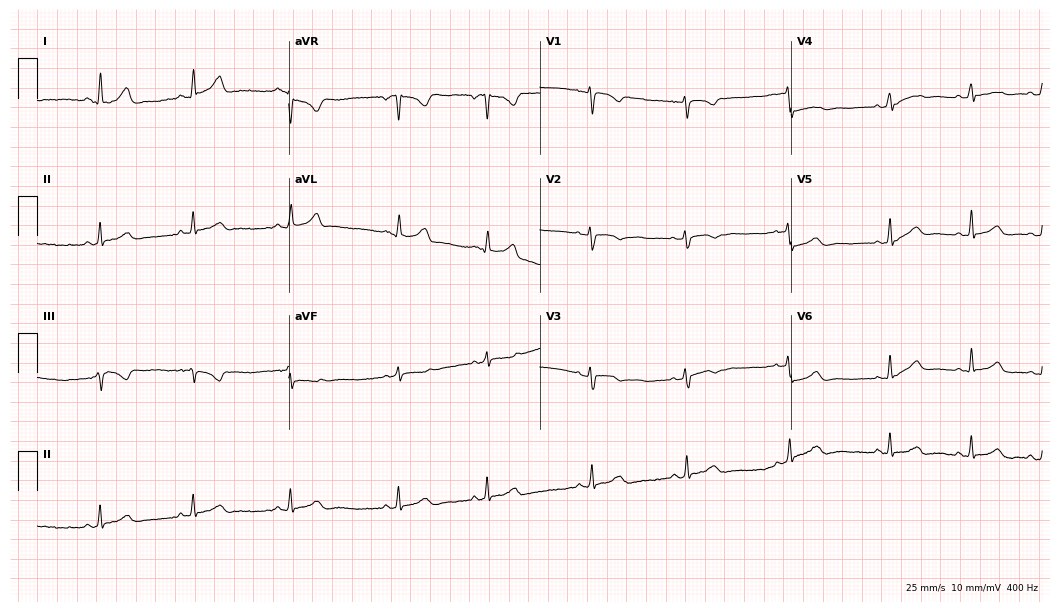
12-lead ECG from a 19-year-old female patient. No first-degree AV block, right bundle branch block (RBBB), left bundle branch block (LBBB), sinus bradycardia, atrial fibrillation (AF) or sinus tachycardia recorded for this tracing. Findings outside these six are not listed.